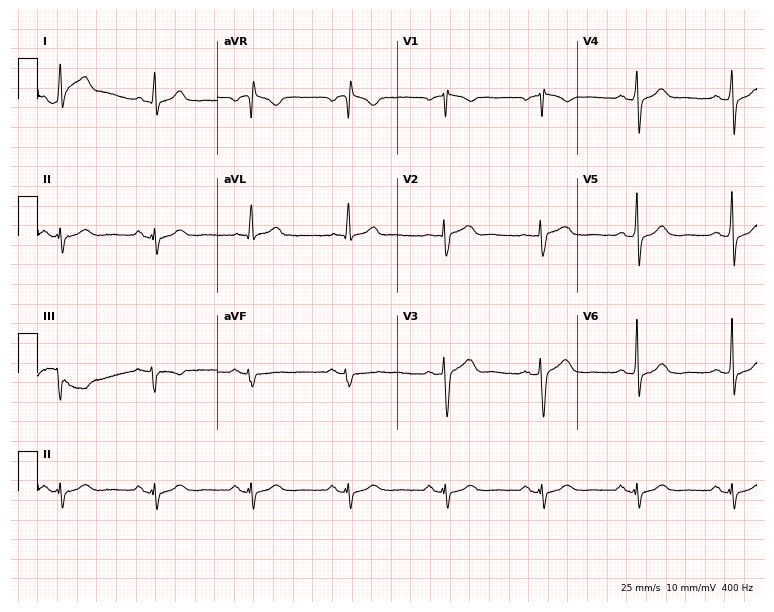
ECG (7.3-second recording at 400 Hz) — a 54-year-old male patient. Screened for six findings — first-degree AV block, right bundle branch block, left bundle branch block, sinus bradycardia, atrial fibrillation, sinus tachycardia — none is recorded.